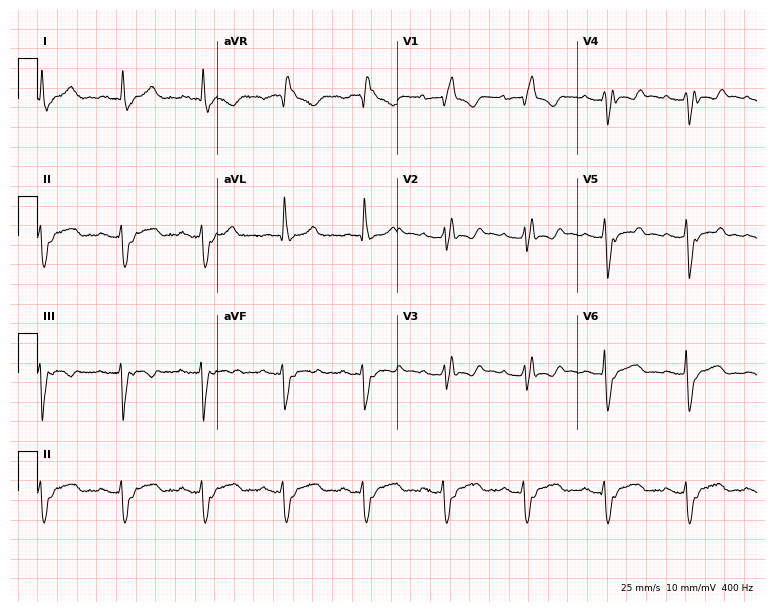
Resting 12-lead electrocardiogram (7.3-second recording at 400 Hz). Patient: a female, 69 years old. The tracing shows right bundle branch block.